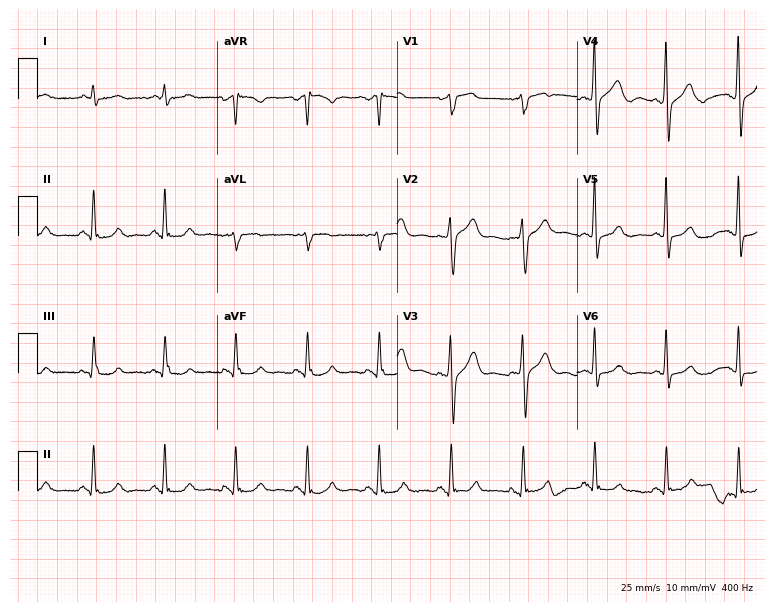
Resting 12-lead electrocardiogram (7.3-second recording at 400 Hz). Patient: a 55-year-old man. Read as a normal ECG.